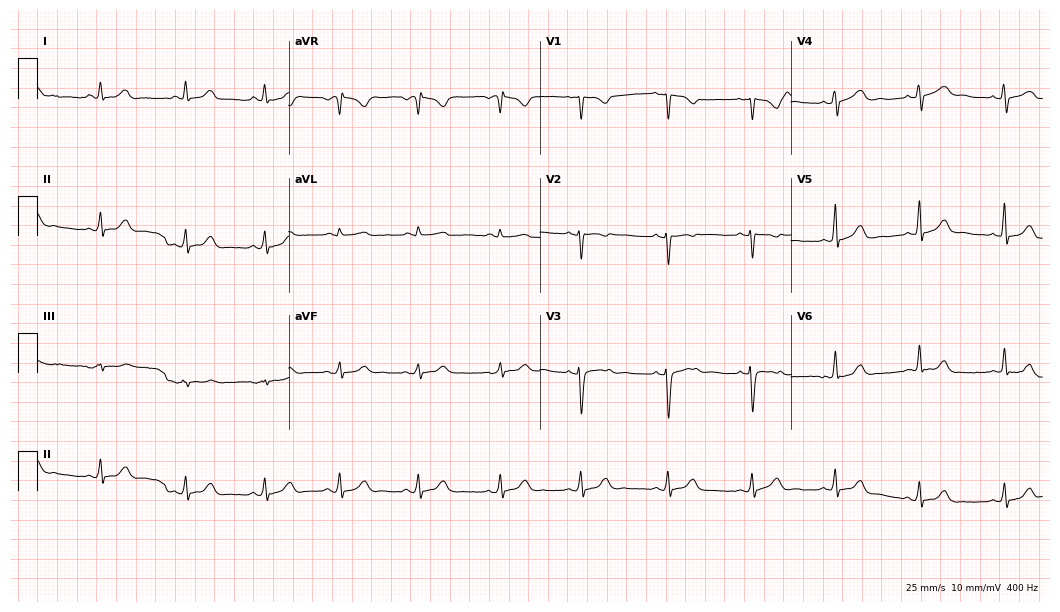
Resting 12-lead electrocardiogram. Patient: a 27-year-old female. Read as a normal ECG.